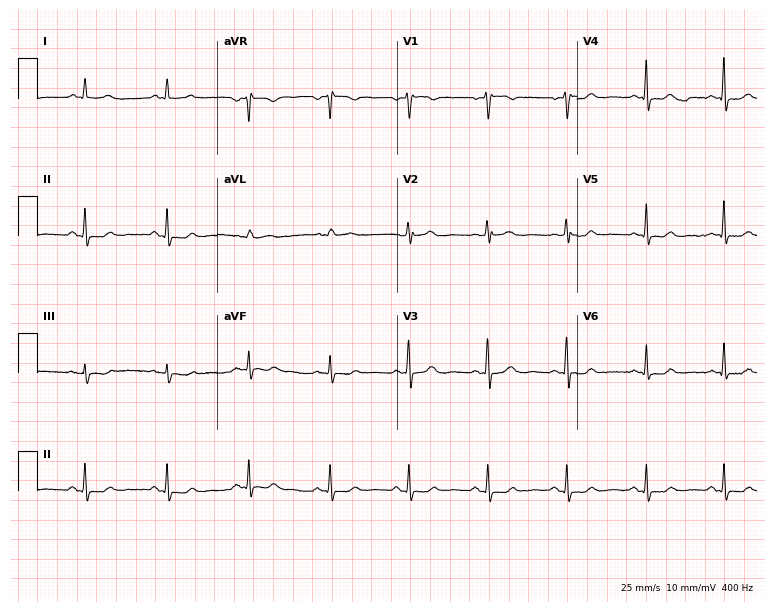
ECG (7.3-second recording at 400 Hz) — a female patient, 64 years old. Screened for six findings — first-degree AV block, right bundle branch block (RBBB), left bundle branch block (LBBB), sinus bradycardia, atrial fibrillation (AF), sinus tachycardia — none is recorded.